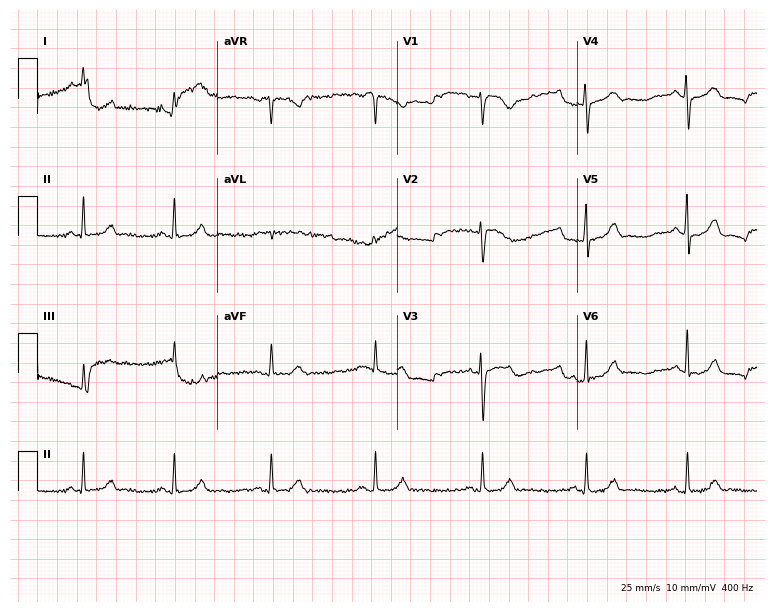
Electrocardiogram, a 37-year-old female. Of the six screened findings (first-degree AV block, right bundle branch block, left bundle branch block, sinus bradycardia, atrial fibrillation, sinus tachycardia), none is recorded. Other findings, if any, are not listed.